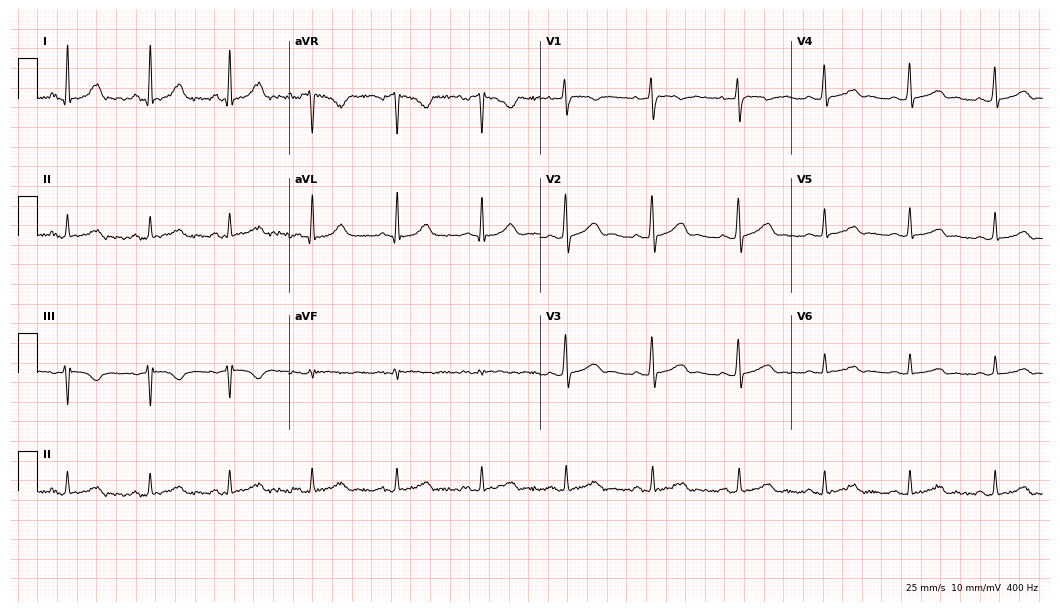
12-lead ECG from a female, 43 years old. Screened for six findings — first-degree AV block, right bundle branch block, left bundle branch block, sinus bradycardia, atrial fibrillation, sinus tachycardia — none is recorded. Other findings, if any, are not listed.